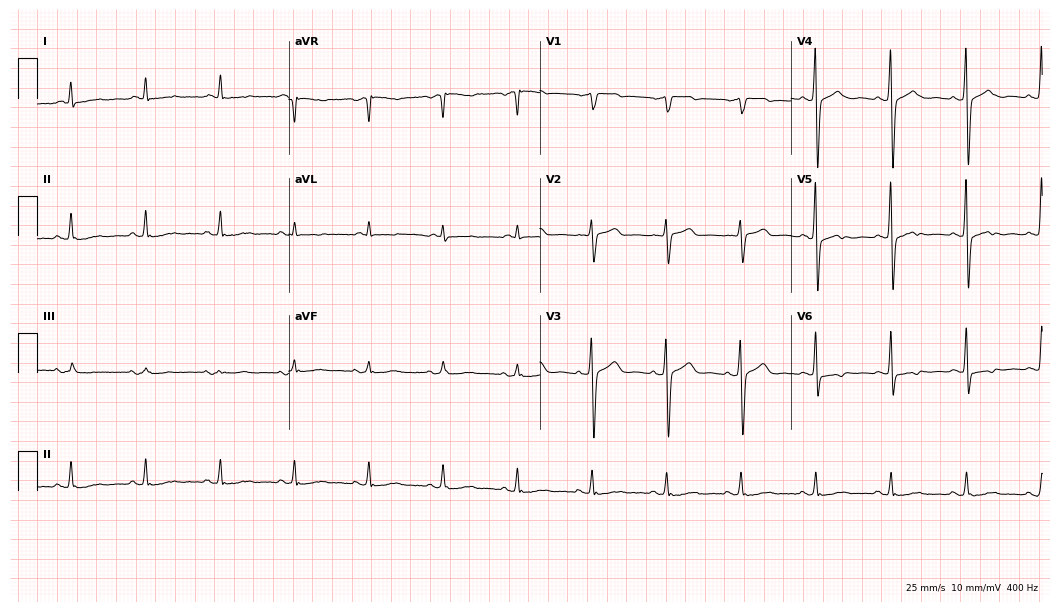
ECG — a man, 56 years old. Screened for six findings — first-degree AV block, right bundle branch block, left bundle branch block, sinus bradycardia, atrial fibrillation, sinus tachycardia — none is recorded. Only these six findings were labelled.